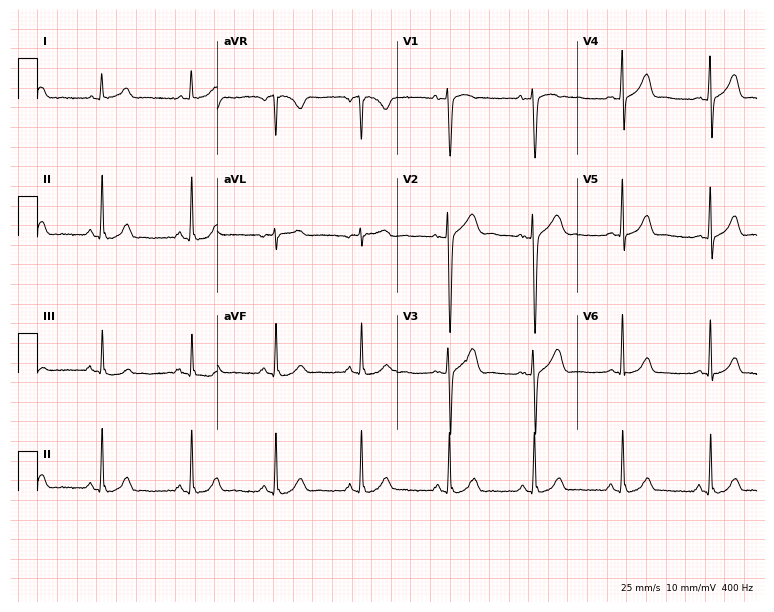
Electrocardiogram (7.3-second recording at 400 Hz), a female, 38 years old. Overall reading on record: normal ECG.